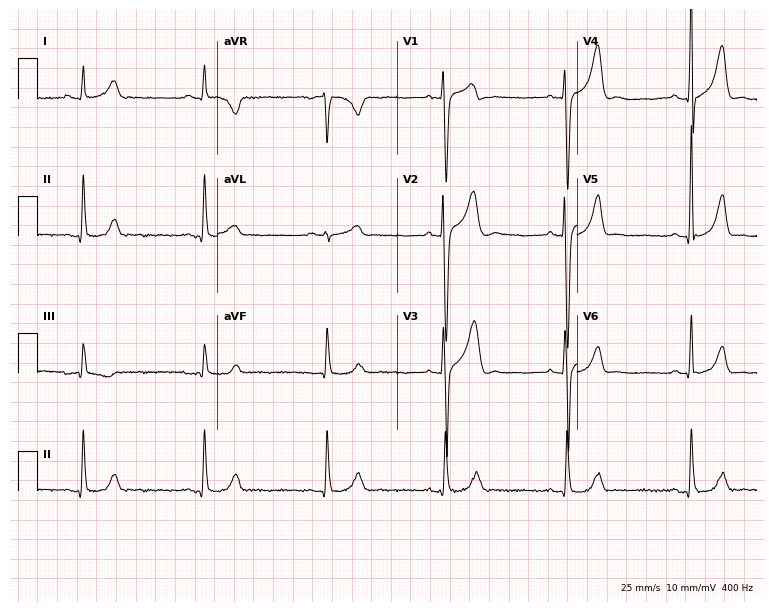
12-lead ECG from a man, 33 years old. Findings include right bundle branch block, sinus bradycardia (a sinus rate of 50 beats per minute or less).